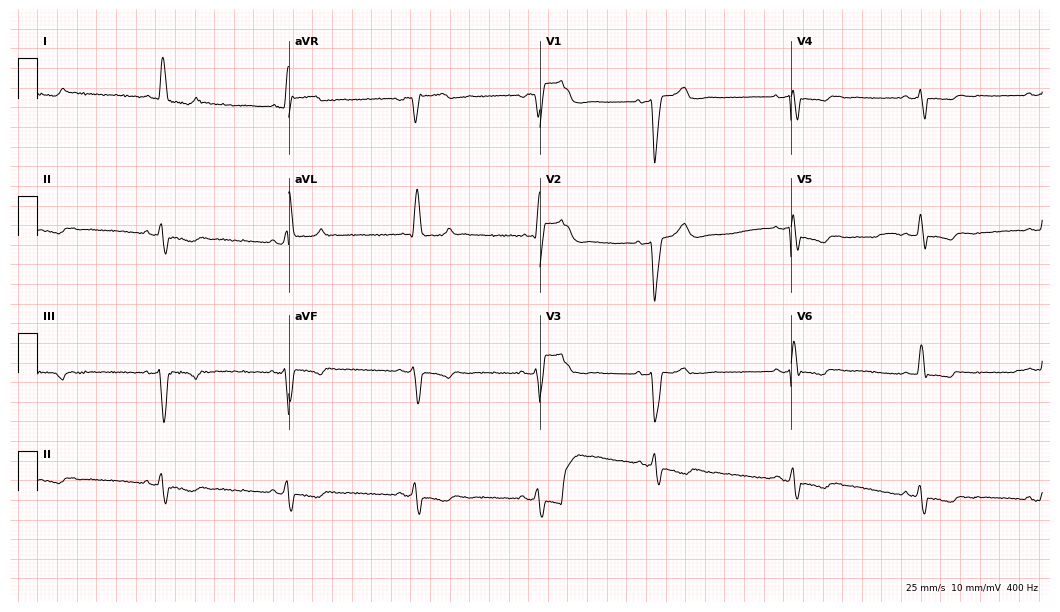
Standard 12-lead ECG recorded from a 67-year-old woman (10.2-second recording at 400 Hz). The tracing shows right bundle branch block (RBBB), left bundle branch block (LBBB).